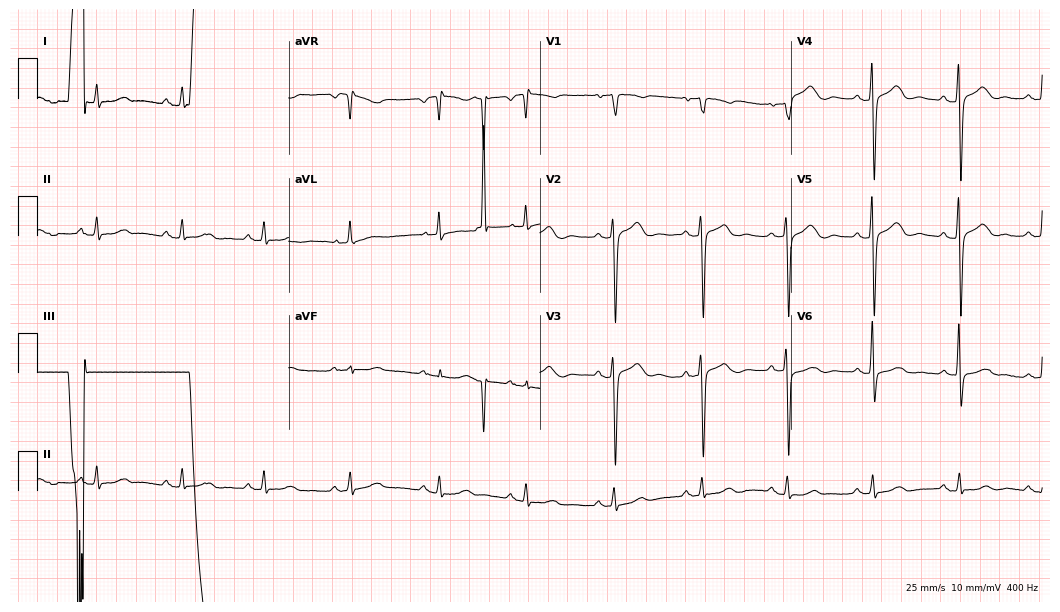
ECG (10.2-second recording at 400 Hz) — a female patient, 76 years old. Screened for six findings — first-degree AV block, right bundle branch block, left bundle branch block, sinus bradycardia, atrial fibrillation, sinus tachycardia — none is recorded. Only these six findings were labelled.